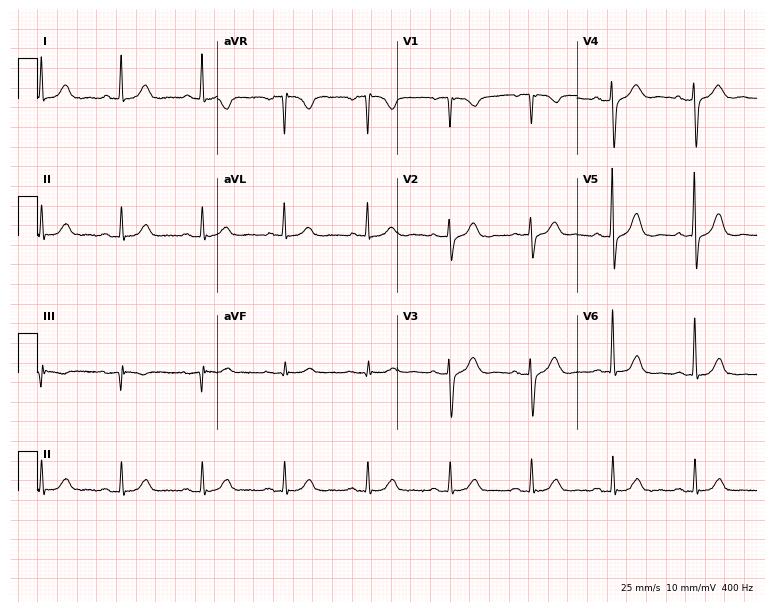
12-lead ECG from a female patient, 71 years old. Recorded interpretation: within normal limits.